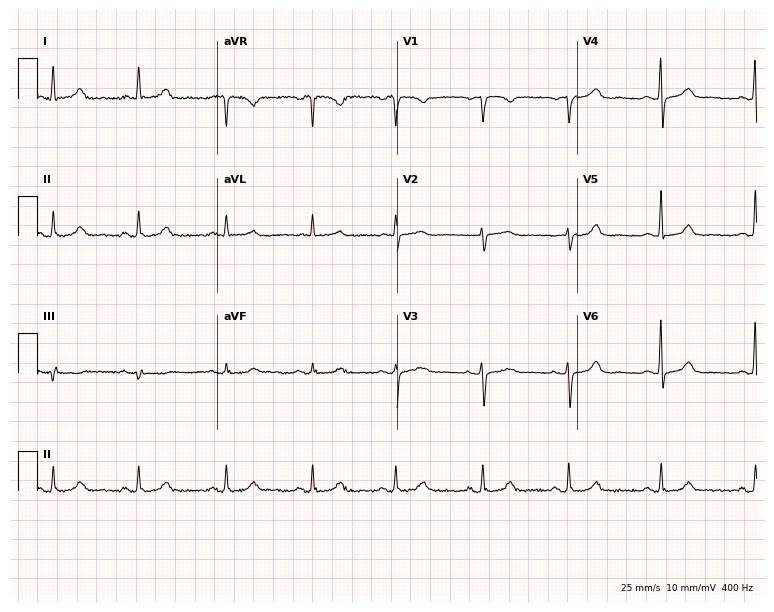
12-lead ECG (7.3-second recording at 400 Hz) from a 63-year-old female. Labelled as a normal ECG.